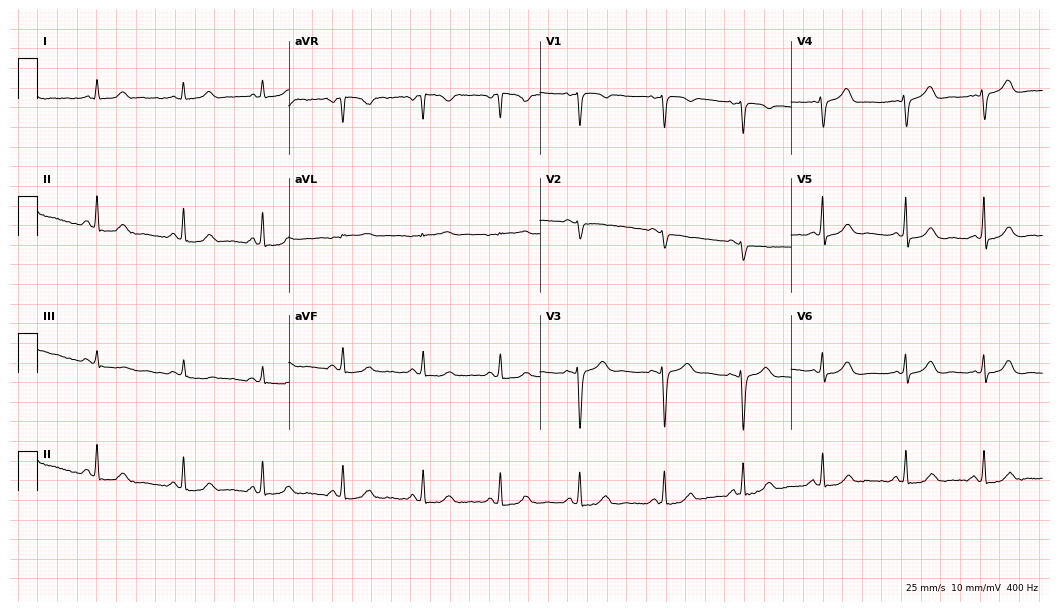
Standard 12-lead ECG recorded from a female, 34 years old. None of these six findings is recorded: first-degree AV block, right bundle branch block (RBBB), left bundle branch block (LBBB), sinus bradycardia, atrial fibrillation (AF), sinus tachycardia. Only these six findings were labelled.